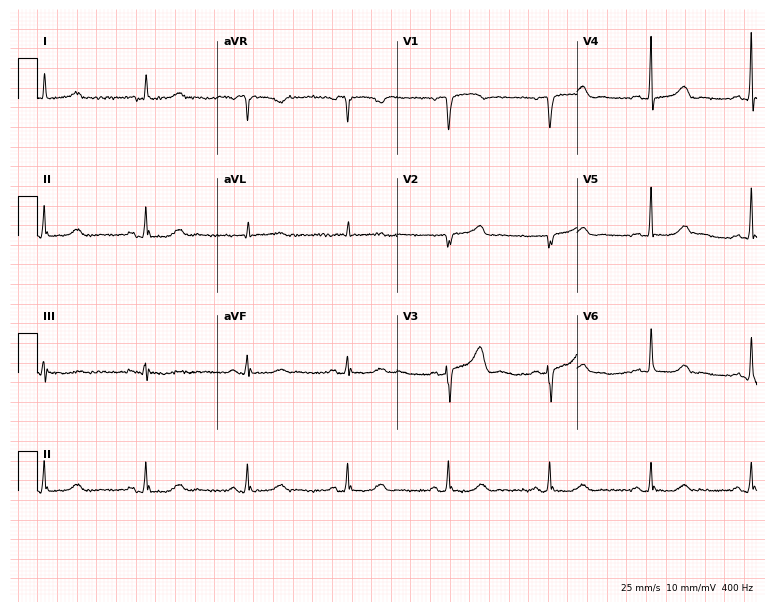
12-lead ECG from an 80-year-old woman (7.3-second recording at 400 Hz). Recorded interpretation: within normal limits.